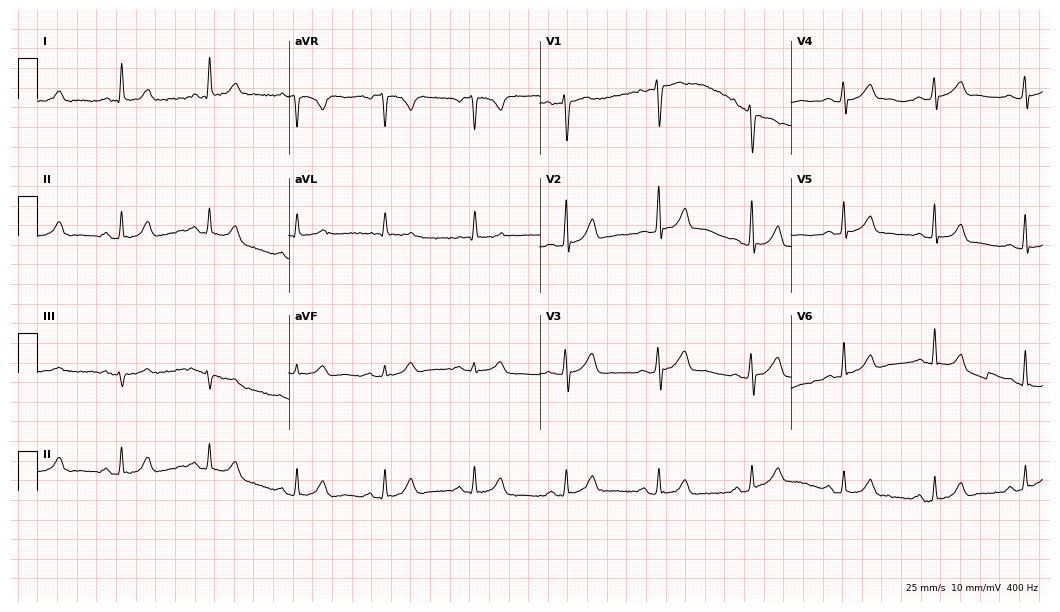
Standard 12-lead ECG recorded from a woman, 59 years old (10.2-second recording at 400 Hz). Read as a normal ECG.